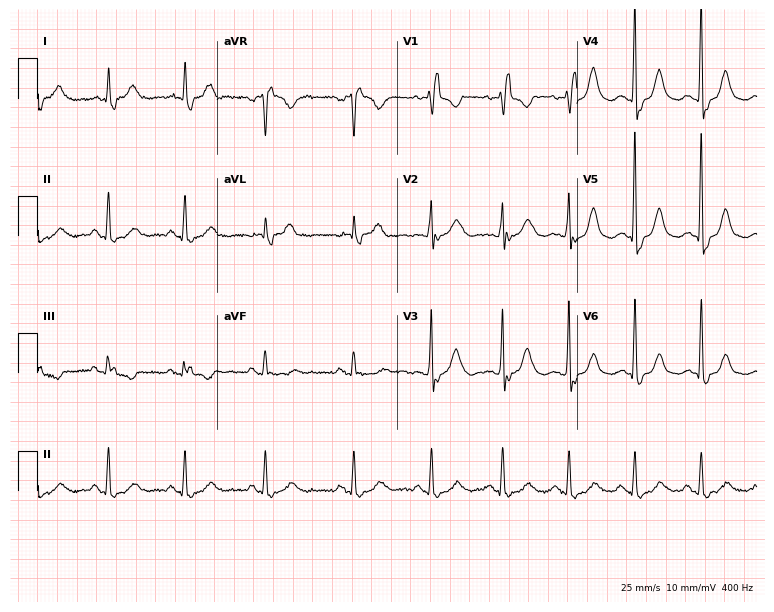
Standard 12-lead ECG recorded from an 84-year-old female. The tracing shows right bundle branch block.